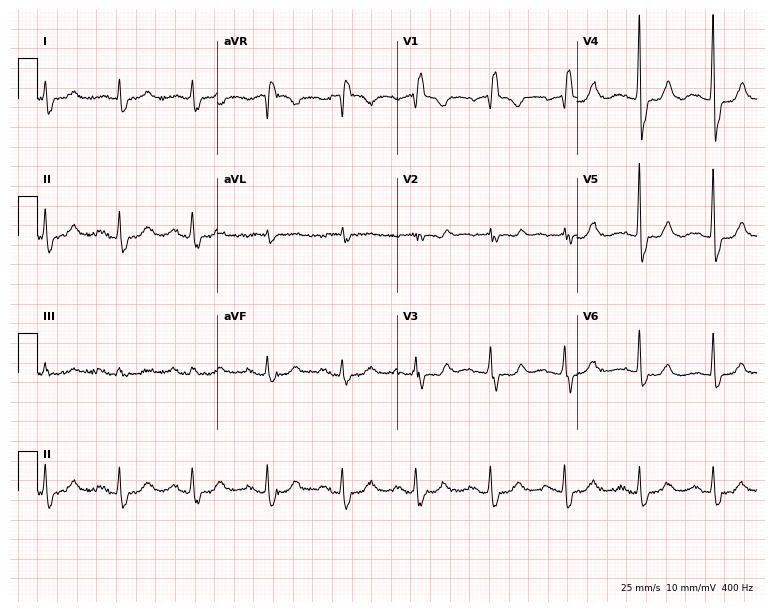
Standard 12-lead ECG recorded from a female, 84 years old. The tracing shows right bundle branch block.